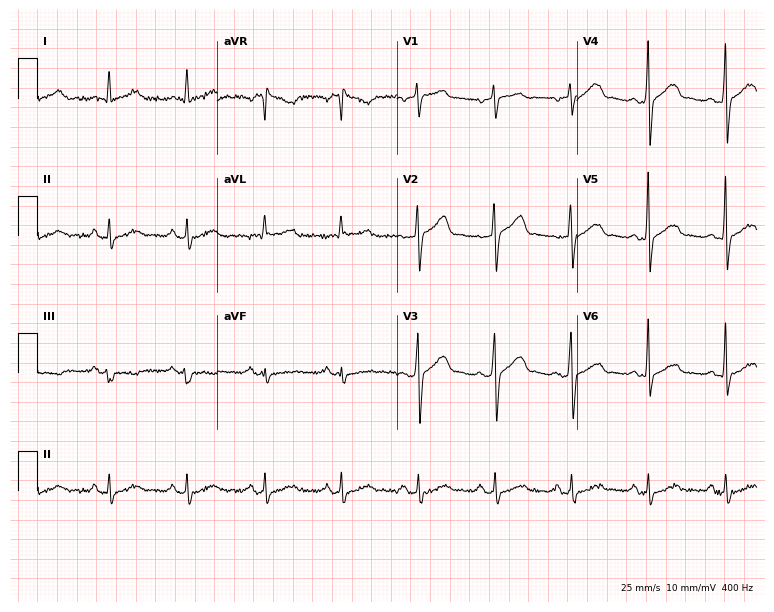
Standard 12-lead ECG recorded from a 58-year-old male. Read as a normal ECG.